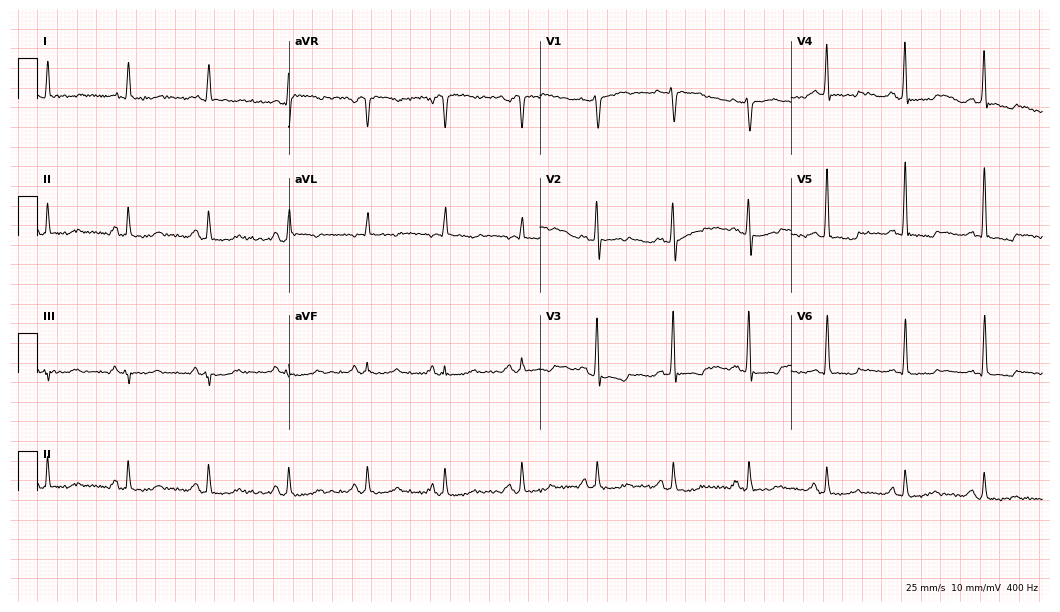
12-lead ECG from a male, 60 years old. No first-degree AV block, right bundle branch block (RBBB), left bundle branch block (LBBB), sinus bradycardia, atrial fibrillation (AF) or sinus tachycardia recorded for this tracing. Findings outside these six are not listed.